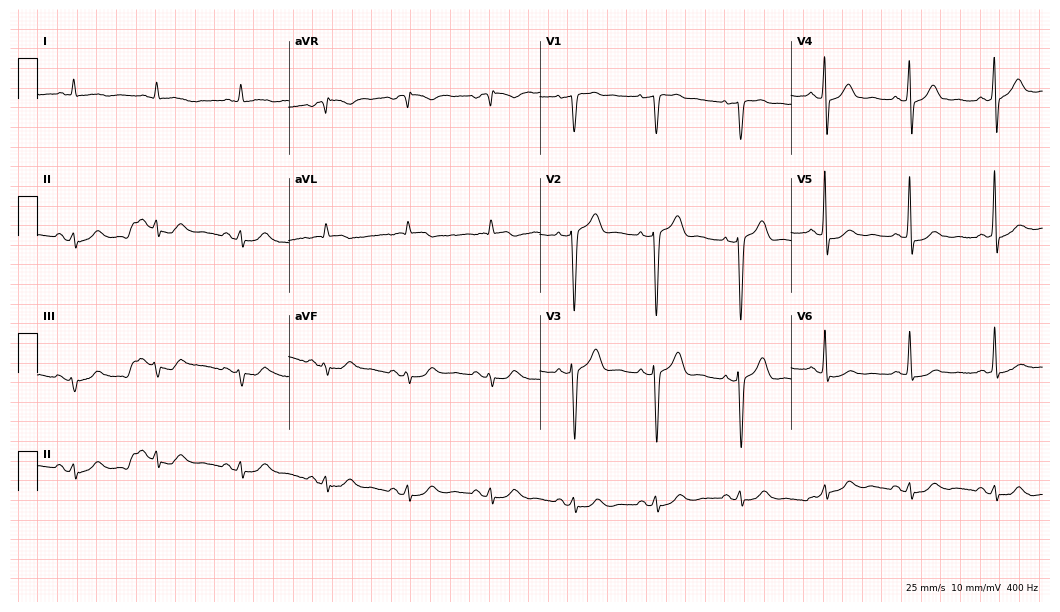
ECG (10.2-second recording at 400 Hz) — a man, 77 years old. Screened for six findings — first-degree AV block, right bundle branch block, left bundle branch block, sinus bradycardia, atrial fibrillation, sinus tachycardia — none is recorded.